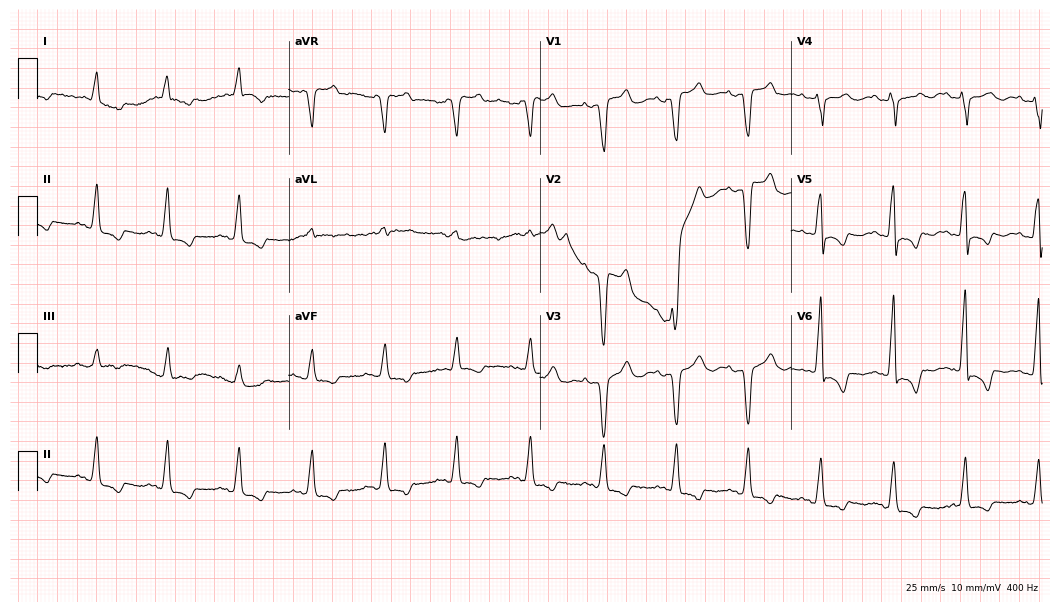
12-lead ECG from a female, 80 years old (10.2-second recording at 400 Hz). Shows left bundle branch block.